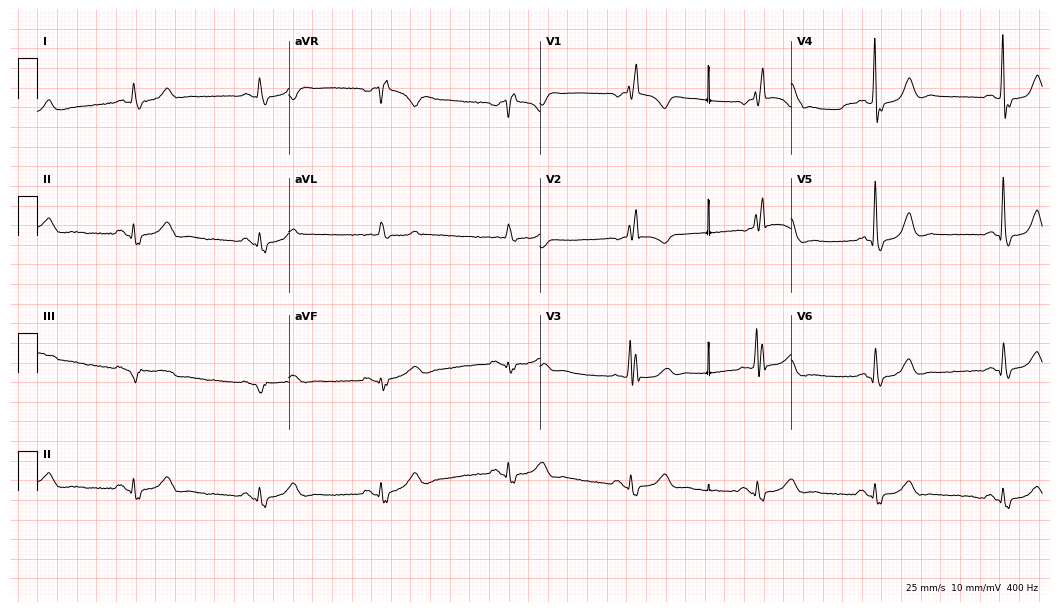
ECG — a 70-year-old female patient. Findings include right bundle branch block (RBBB).